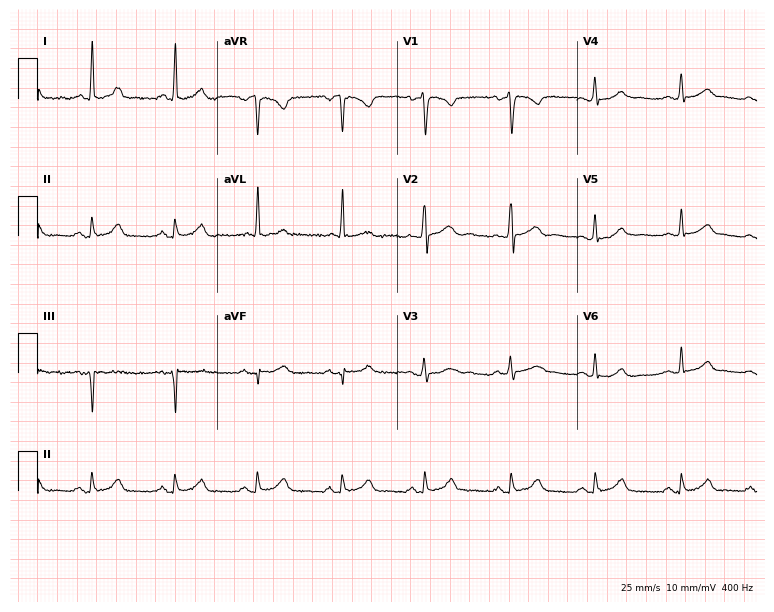
Resting 12-lead electrocardiogram (7.3-second recording at 400 Hz). Patient: a female, 42 years old. None of these six findings is recorded: first-degree AV block, right bundle branch block (RBBB), left bundle branch block (LBBB), sinus bradycardia, atrial fibrillation (AF), sinus tachycardia.